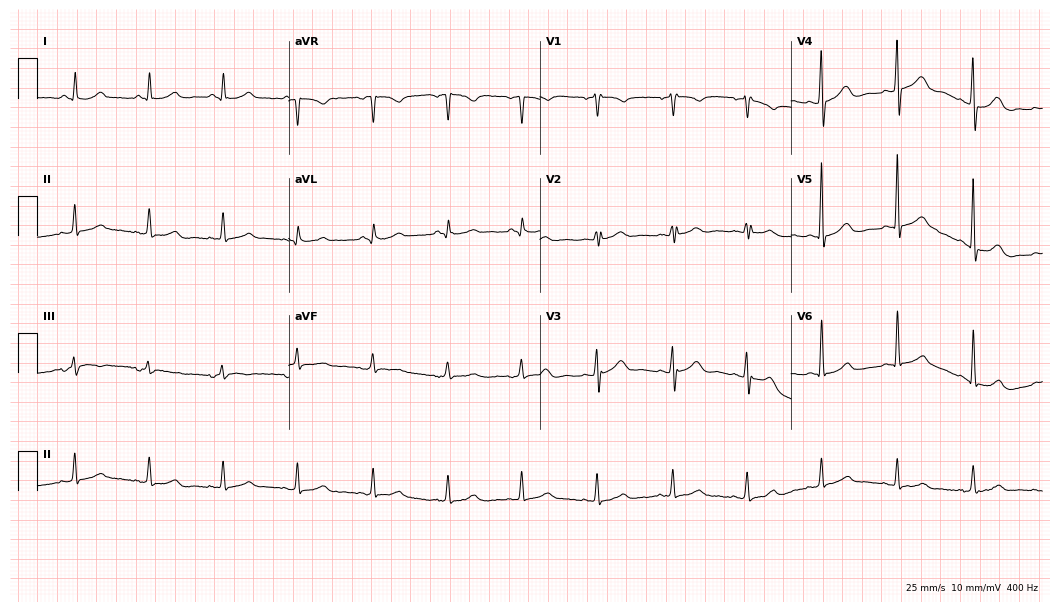
ECG (10.2-second recording at 400 Hz) — a female, 71 years old. Labelled as a normal ECG.